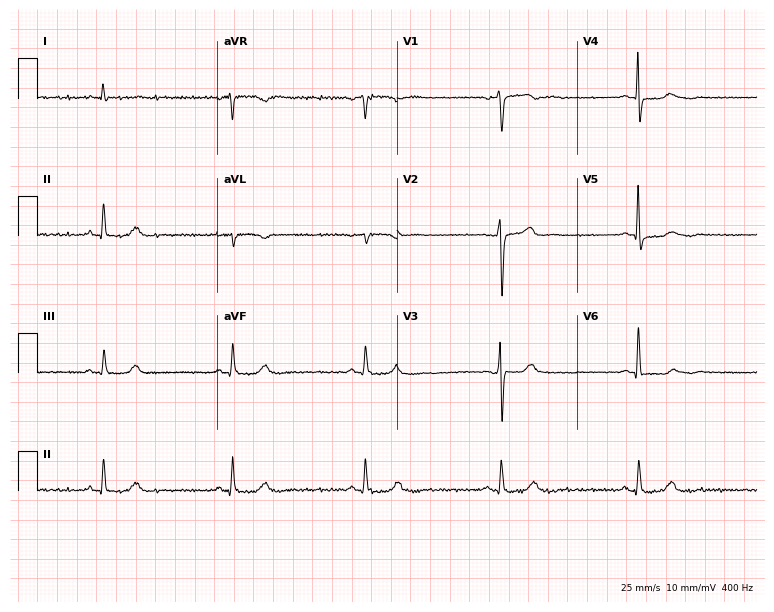
Standard 12-lead ECG recorded from a male patient, 75 years old. The tracing shows sinus bradycardia (a sinus rate of 50 beats per minute or less).